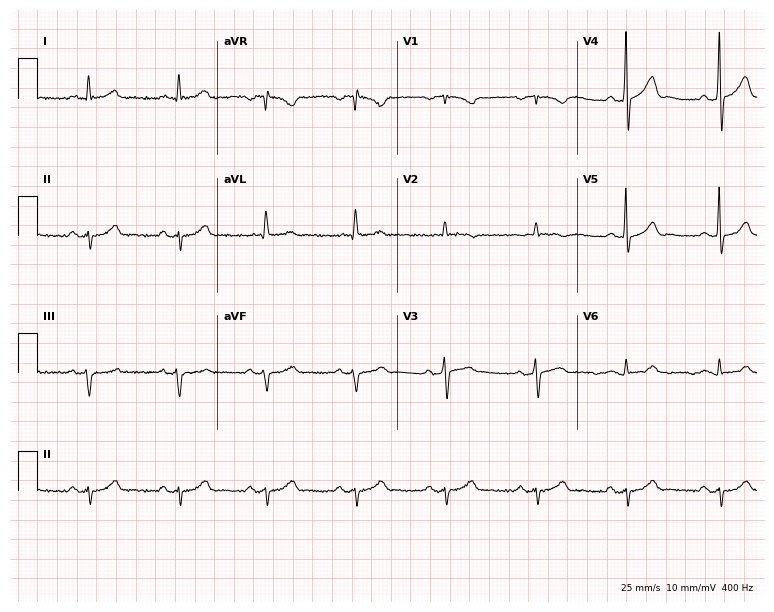
Electrocardiogram (7.3-second recording at 400 Hz), a 71-year-old male. Of the six screened findings (first-degree AV block, right bundle branch block, left bundle branch block, sinus bradycardia, atrial fibrillation, sinus tachycardia), none is recorded. Findings outside these six are not listed.